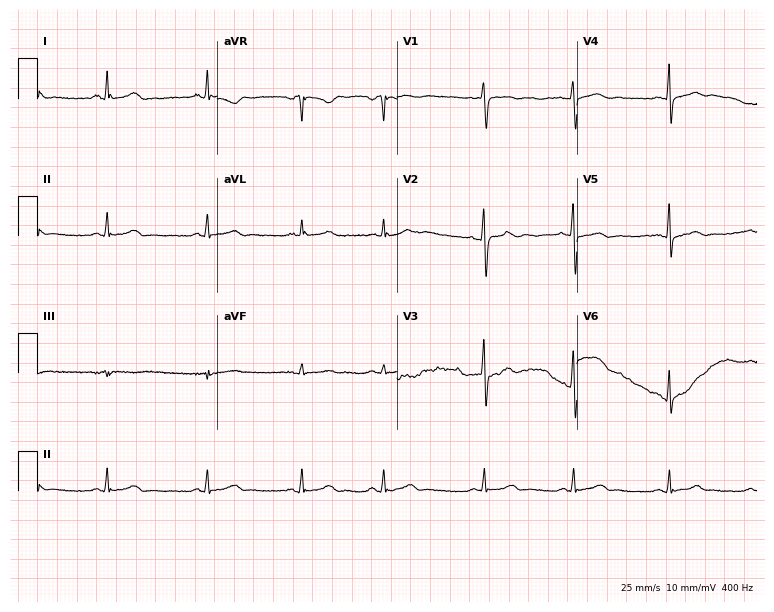
ECG (7.3-second recording at 400 Hz) — a female patient, 26 years old. Screened for six findings — first-degree AV block, right bundle branch block, left bundle branch block, sinus bradycardia, atrial fibrillation, sinus tachycardia — none is recorded.